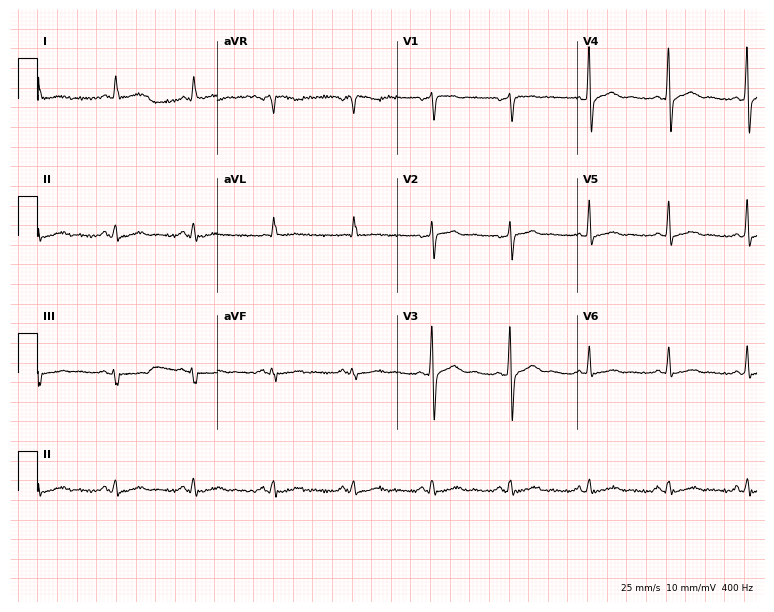
12-lead ECG from a 51-year-old man. No first-degree AV block, right bundle branch block, left bundle branch block, sinus bradycardia, atrial fibrillation or sinus tachycardia recorded for this tracing.